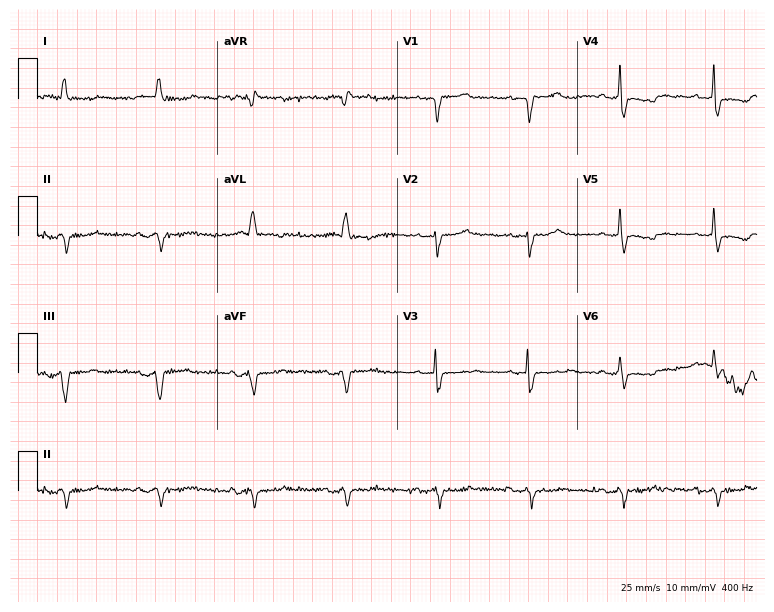
12-lead ECG (7.3-second recording at 400 Hz) from an 83-year-old female. Screened for six findings — first-degree AV block, right bundle branch block, left bundle branch block, sinus bradycardia, atrial fibrillation, sinus tachycardia — none is recorded.